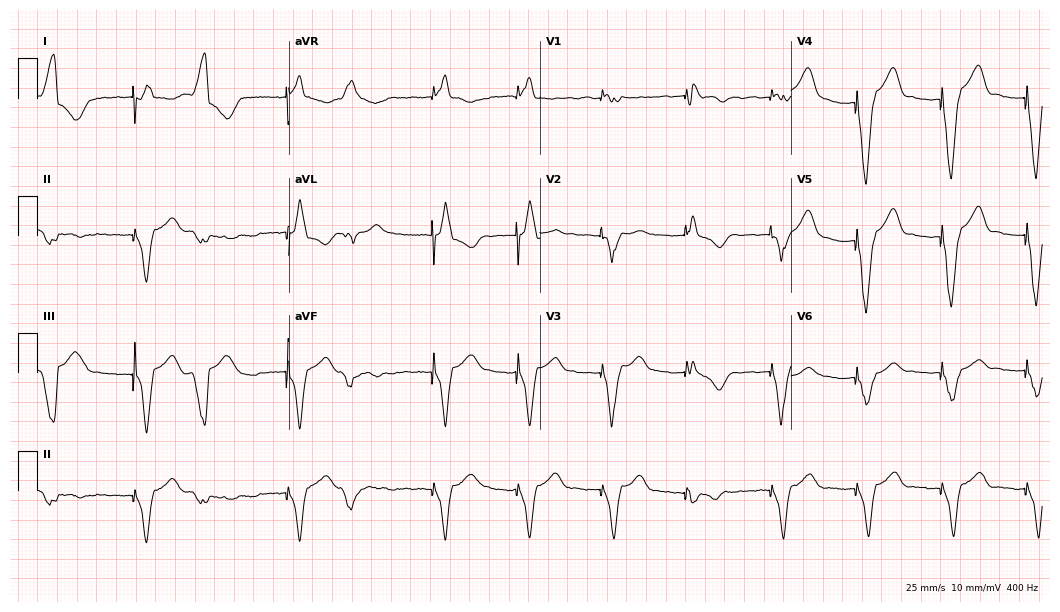
Standard 12-lead ECG recorded from a female, 76 years old. None of these six findings is recorded: first-degree AV block, right bundle branch block, left bundle branch block, sinus bradycardia, atrial fibrillation, sinus tachycardia.